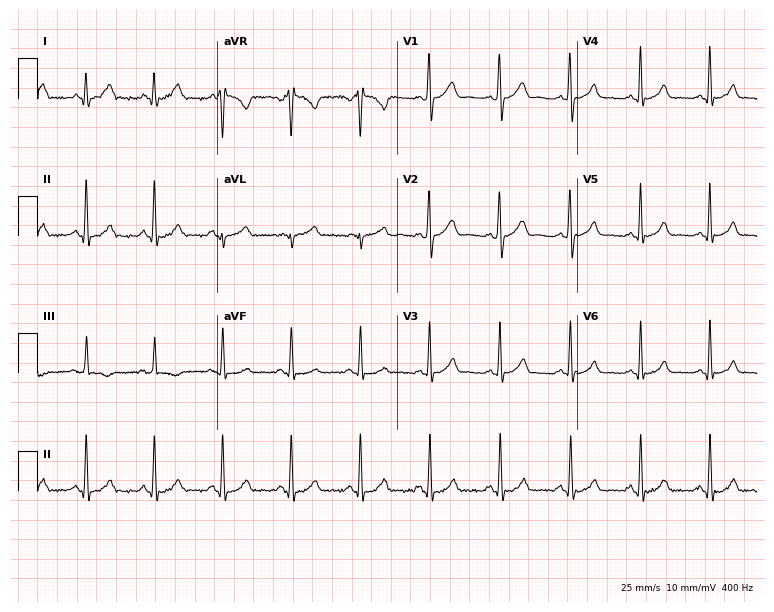
12-lead ECG from a male, 28 years old. No first-degree AV block, right bundle branch block (RBBB), left bundle branch block (LBBB), sinus bradycardia, atrial fibrillation (AF) or sinus tachycardia recorded for this tracing.